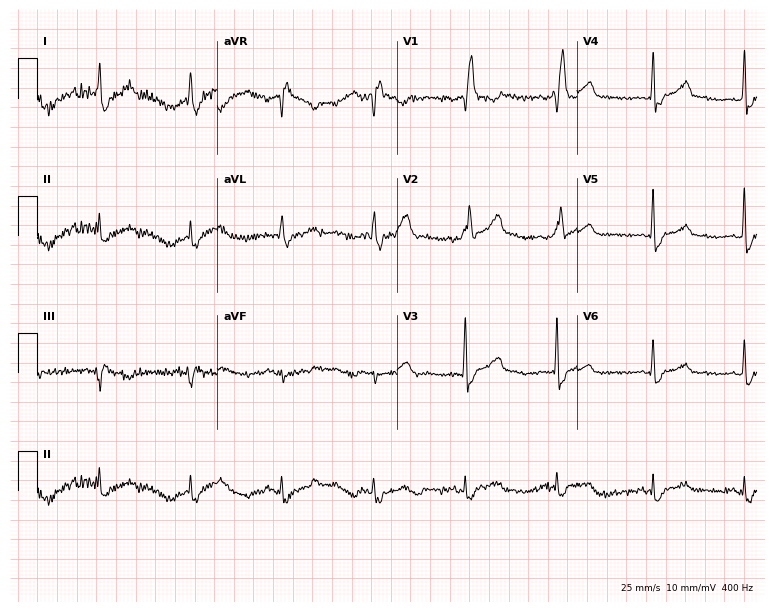
Resting 12-lead electrocardiogram (7.3-second recording at 400 Hz). Patient: a man, 44 years old. The tracing shows right bundle branch block.